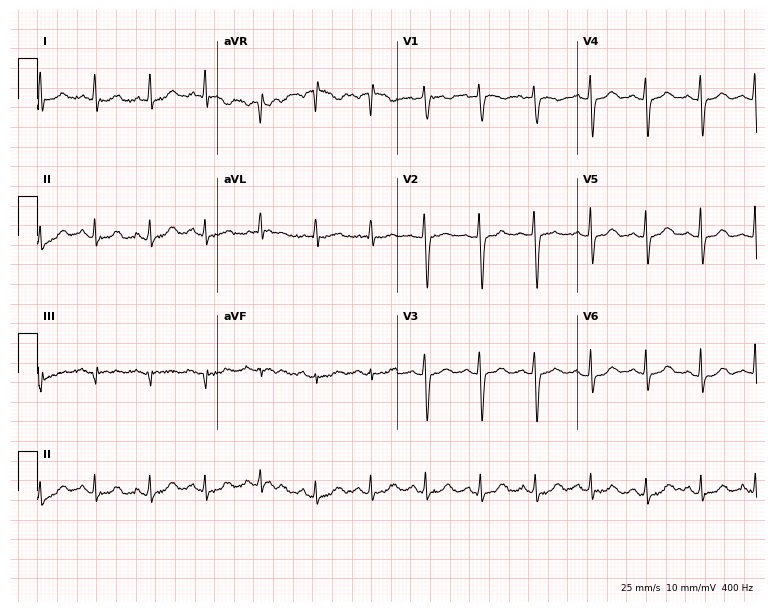
Electrocardiogram, a 75-year-old woman. Of the six screened findings (first-degree AV block, right bundle branch block, left bundle branch block, sinus bradycardia, atrial fibrillation, sinus tachycardia), none is recorded.